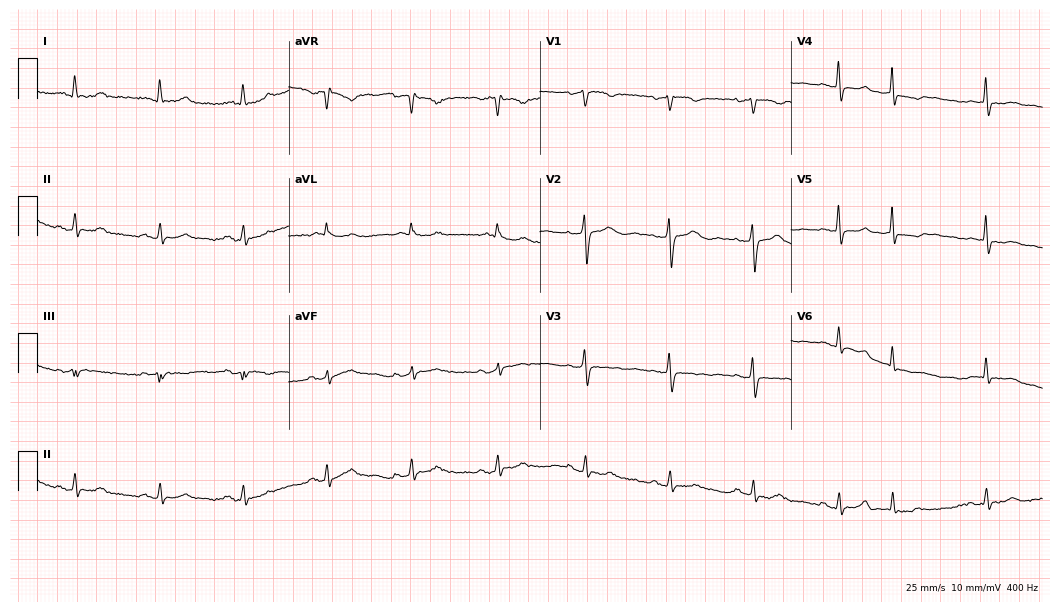
12-lead ECG from a 56-year-old woman. Screened for six findings — first-degree AV block, right bundle branch block, left bundle branch block, sinus bradycardia, atrial fibrillation, sinus tachycardia — none is recorded.